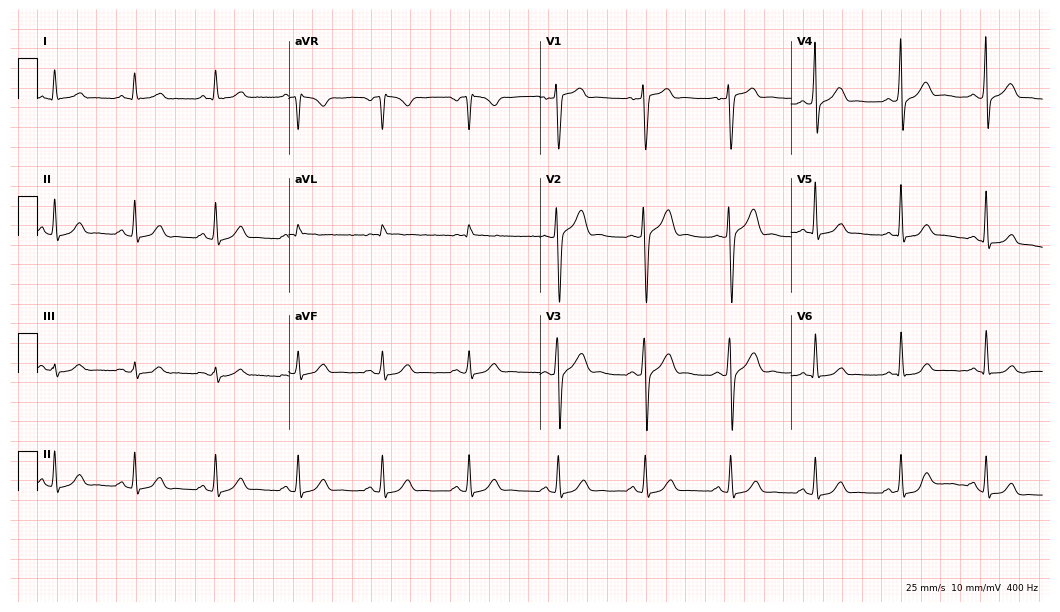
12-lead ECG from a 31-year-old male. Recorded interpretation: within normal limits.